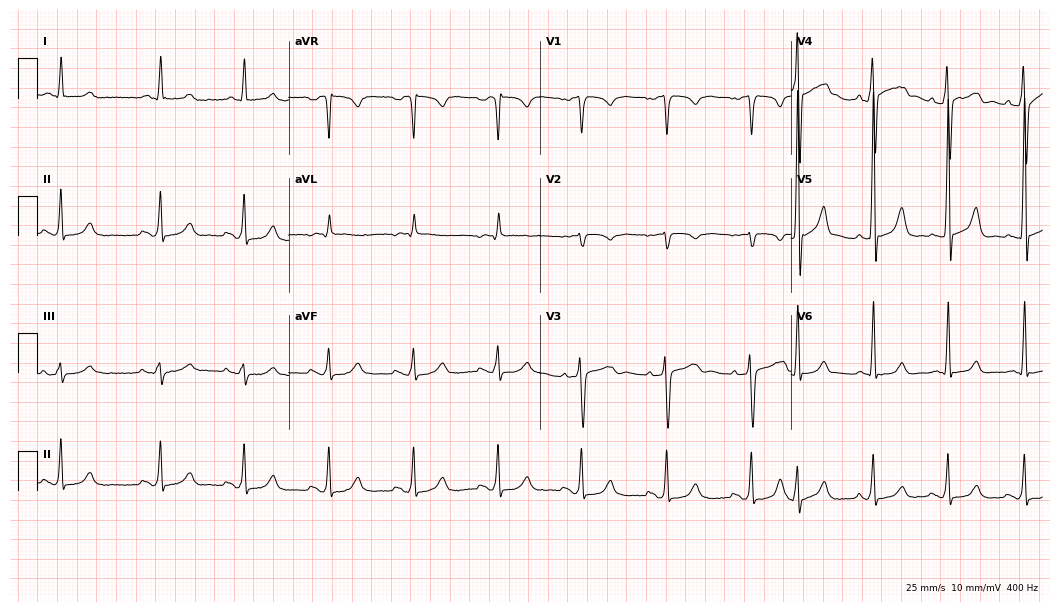
12-lead ECG (10.2-second recording at 400 Hz) from a male patient, 68 years old. Screened for six findings — first-degree AV block, right bundle branch block (RBBB), left bundle branch block (LBBB), sinus bradycardia, atrial fibrillation (AF), sinus tachycardia — none is recorded. Findings outside these six are not listed.